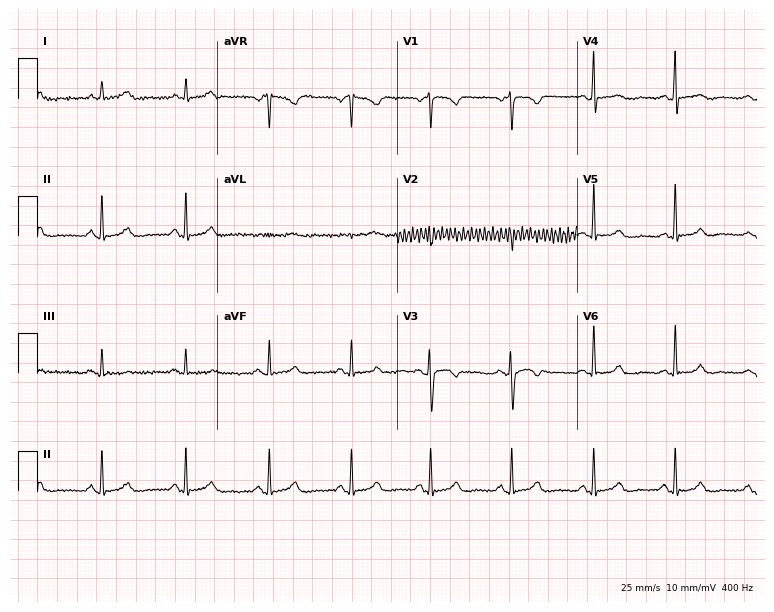
Electrocardiogram, a 37-year-old woman. Of the six screened findings (first-degree AV block, right bundle branch block, left bundle branch block, sinus bradycardia, atrial fibrillation, sinus tachycardia), none is recorded.